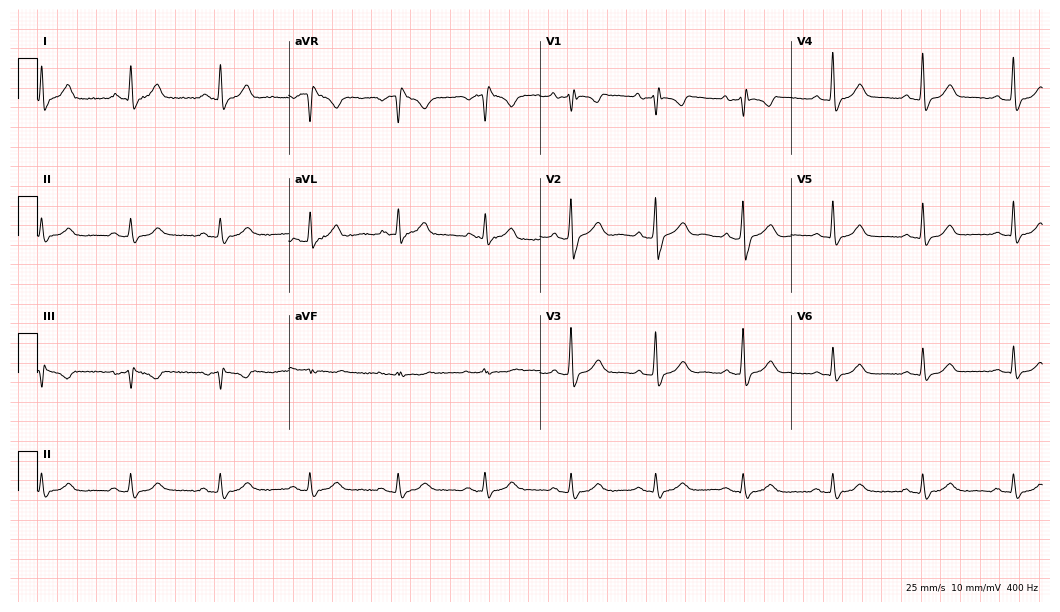
Standard 12-lead ECG recorded from a man, 73 years old (10.2-second recording at 400 Hz). None of these six findings is recorded: first-degree AV block, right bundle branch block (RBBB), left bundle branch block (LBBB), sinus bradycardia, atrial fibrillation (AF), sinus tachycardia. Other findings, if any, are not listed.